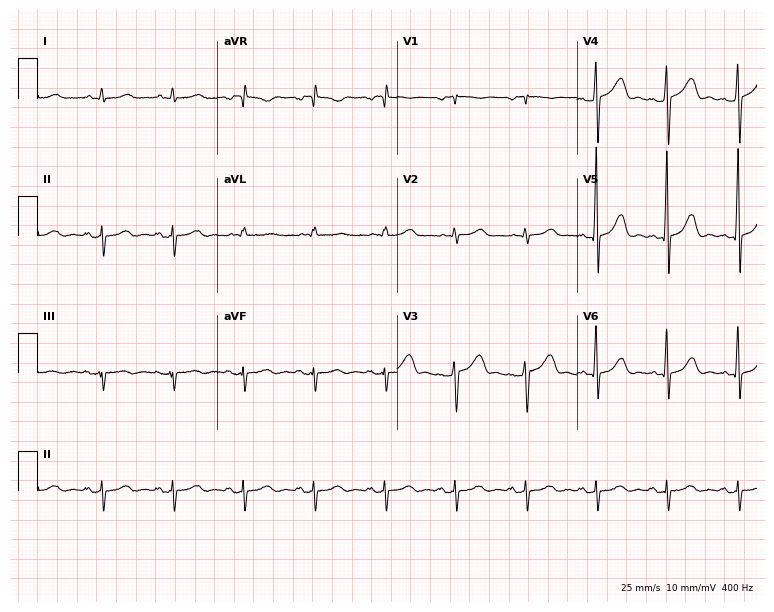
Resting 12-lead electrocardiogram. Patient: a male, 52 years old. Read as a normal ECG.